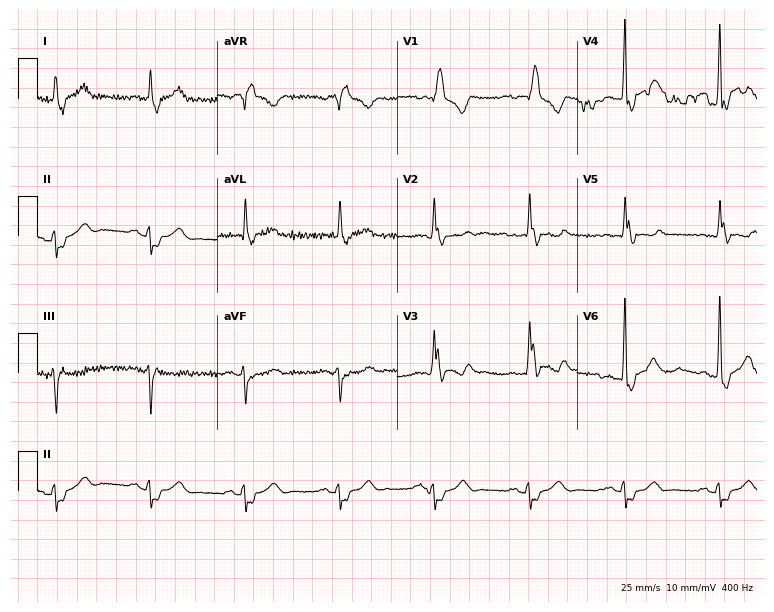
Electrocardiogram (7.3-second recording at 400 Hz), a 71-year-old man. Of the six screened findings (first-degree AV block, right bundle branch block (RBBB), left bundle branch block (LBBB), sinus bradycardia, atrial fibrillation (AF), sinus tachycardia), none is recorded.